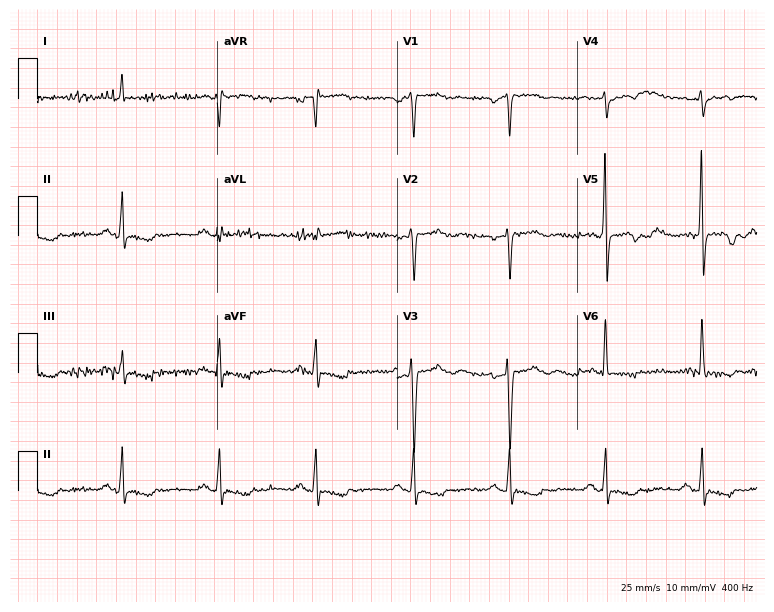
ECG — a 71-year-old male. Screened for six findings — first-degree AV block, right bundle branch block (RBBB), left bundle branch block (LBBB), sinus bradycardia, atrial fibrillation (AF), sinus tachycardia — none is recorded. Other findings, if any, are not listed.